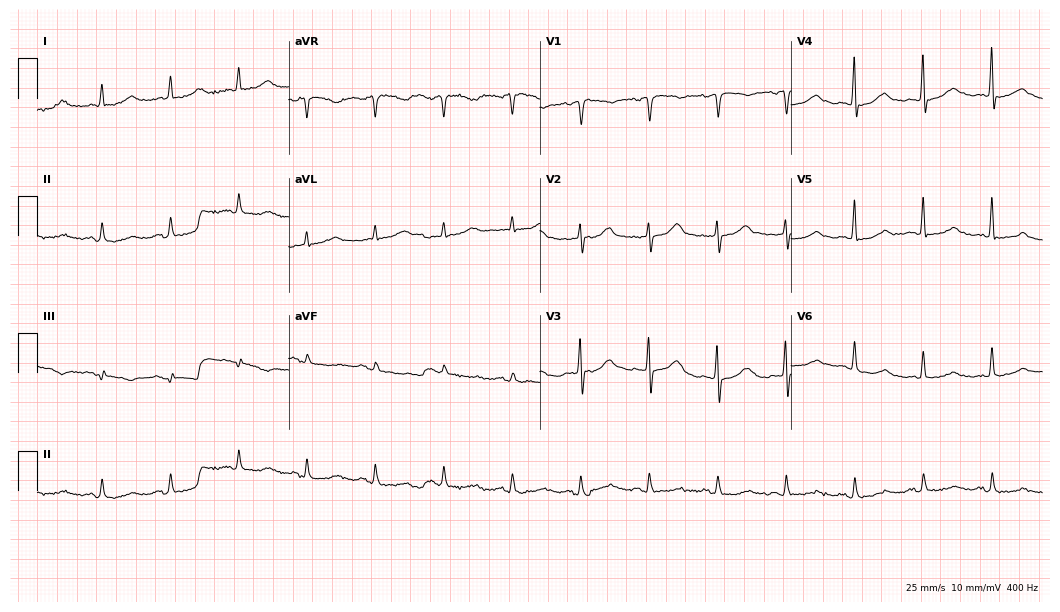
12-lead ECG from a male, 82 years old. No first-degree AV block, right bundle branch block, left bundle branch block, sinus bradycardia, atrial fibrillation or sinus tachycardia recorded for this tracing. Other findings, if any, are not listed.